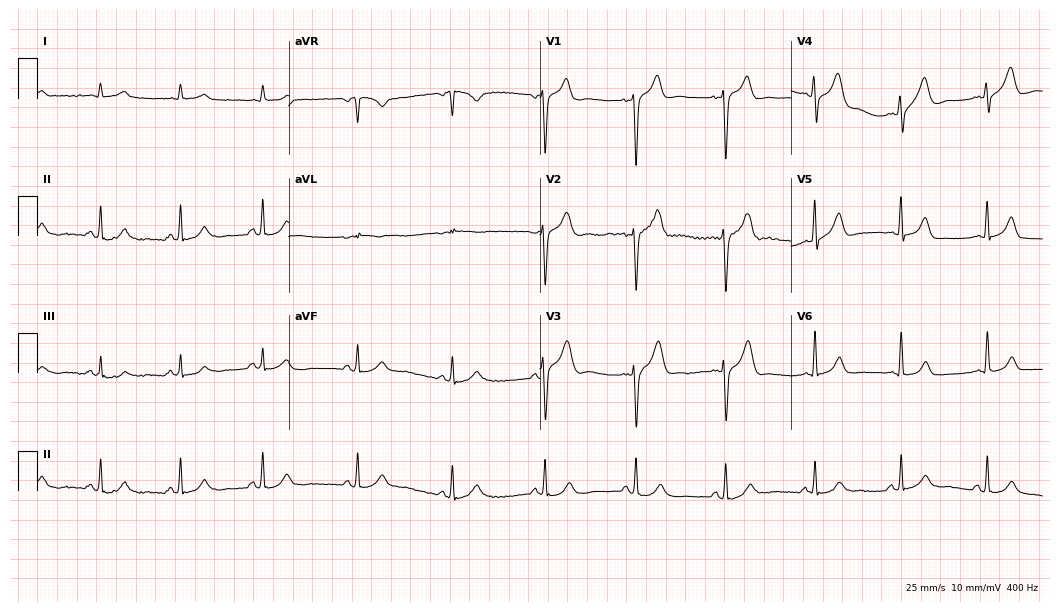
Electrocardiogram (10.2-second recording at 400 Hz), a 60-year-old male. Overall reading on record: normal ECG.